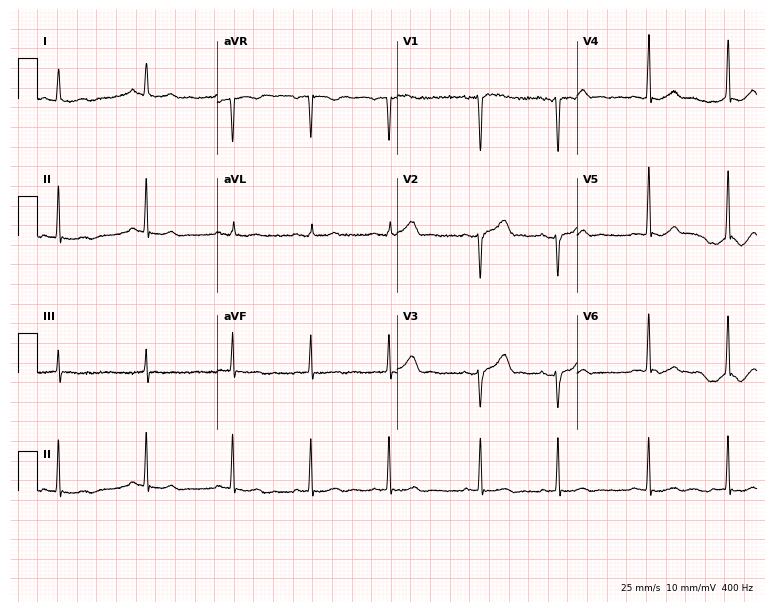
Standard 12-lead ECG recorded from a 26-year-old female patient. None of these six findings is recorded: first-degree AV block, right bundle branch block, left bundle branch block, sinus bradycardia, atrial fibrillation, sinus tachycardia. Only these six findings were labelled.